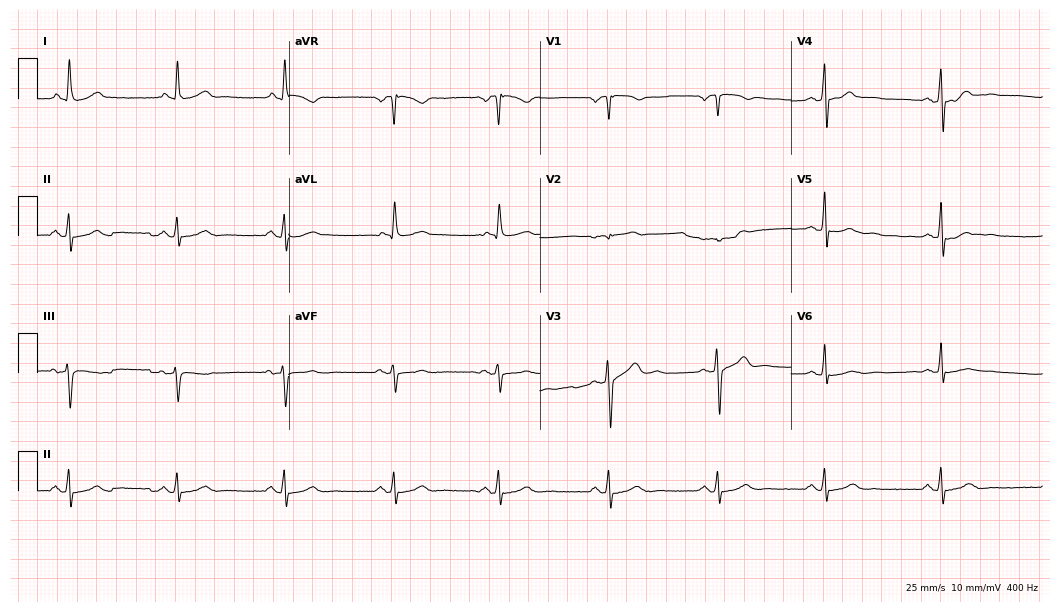
ECG (10.2-second recording at 400 Hz) — a 45-year-old male. Labelled as a normal ECG.